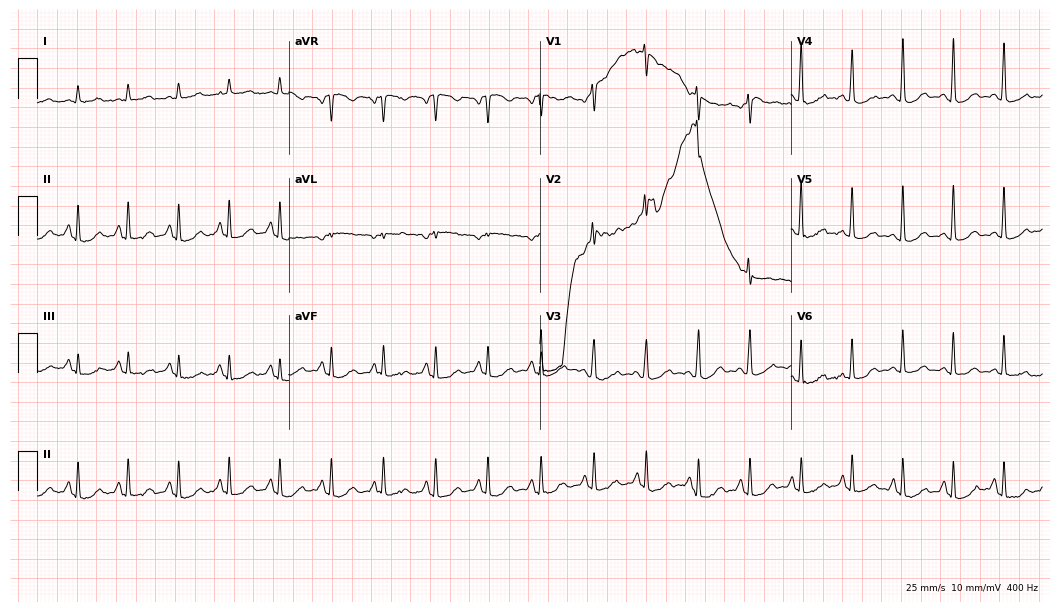
Standard 12-lead ECG recorded from a 53-year-old female patient. The tracing shows sinus tachycardia (a sinus rate of 100 beats per minute or more).